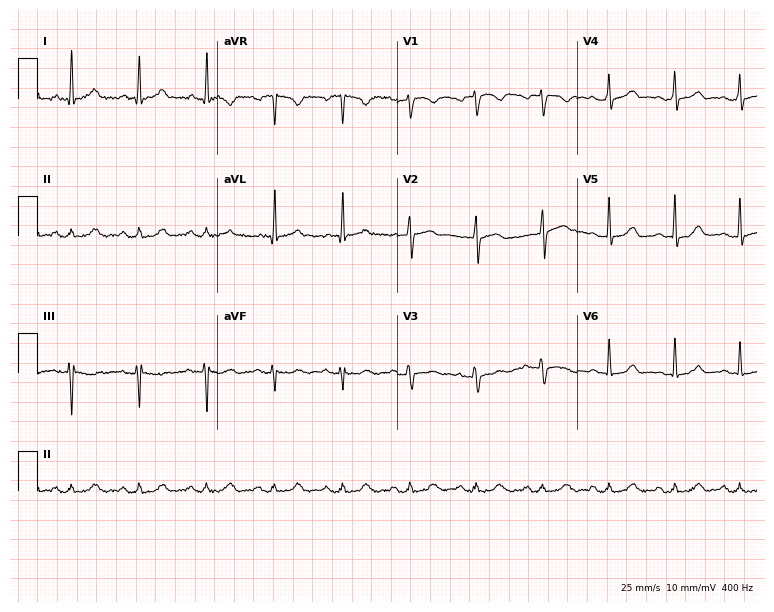
Resting 12-lead electrocardiogram (7.3-second recording at 400 Hz). Patient: a male, 62 years old. Read as a normal ECG.